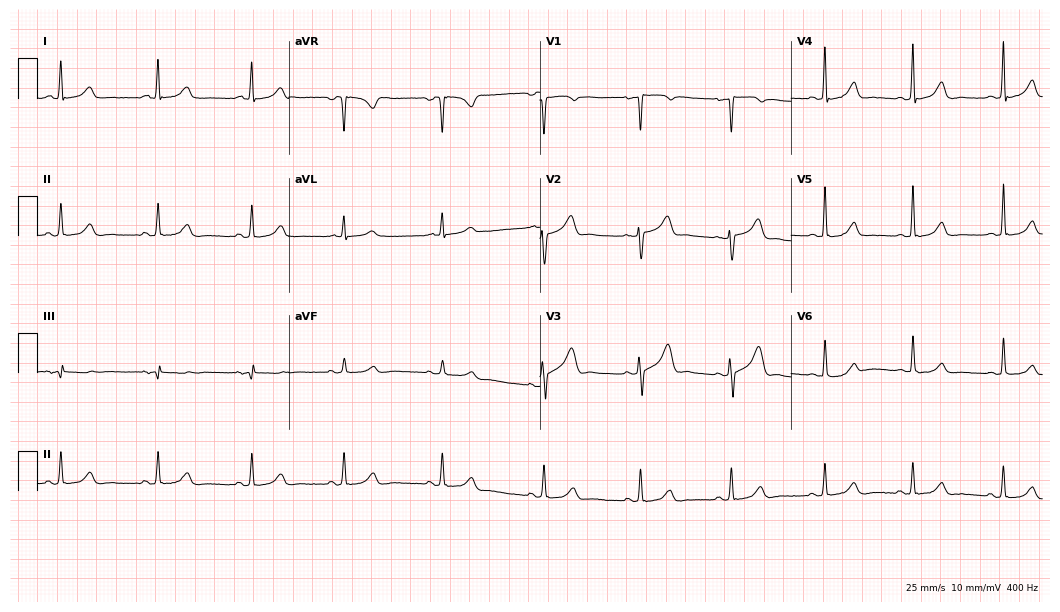
Standard 12-lead ECG recorded from a 47-year-old woman. Read as a normal ECG.